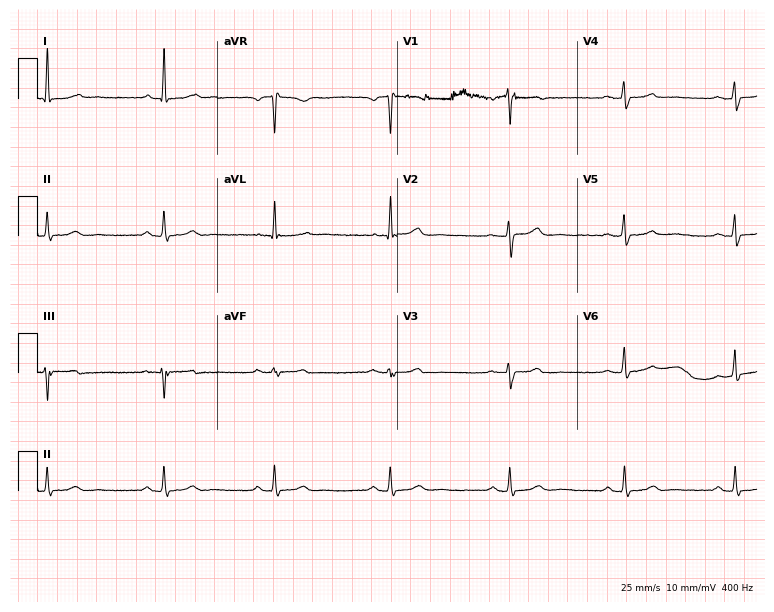
Resting 12-lead electrocardiogram. Patient: a 49-year-old female. Read as a normal ECG.